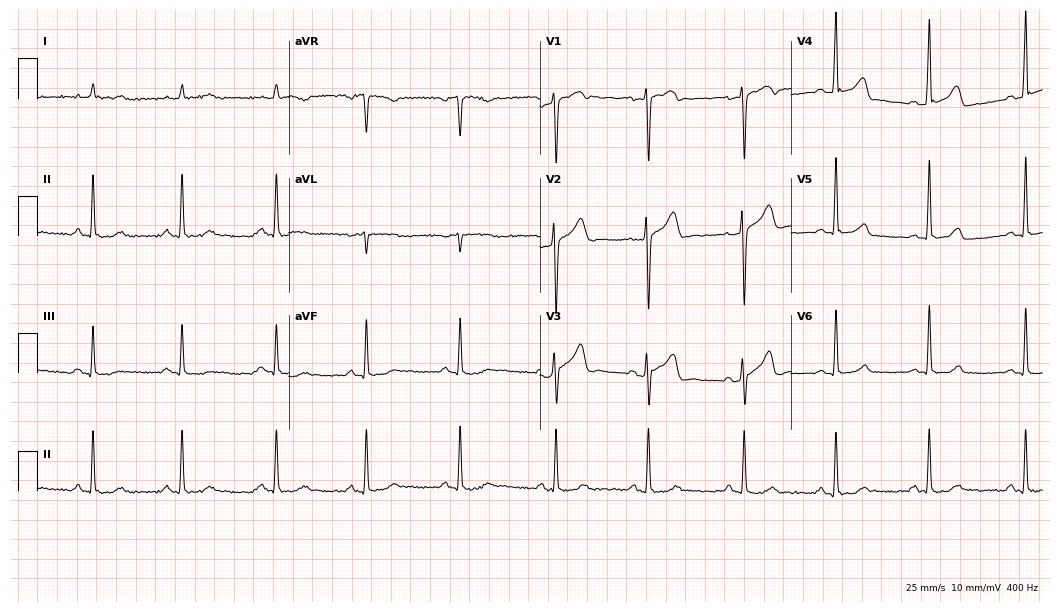
Electrocardiogram, a 43-year-old male. Of the six screened findings (first-degree AV block, right bundle branch block (RBBB), left bundle branch block (LBBB), sinus bradycardia, atrial fibrillation (AF), sinus tachycardia), none is recorded.